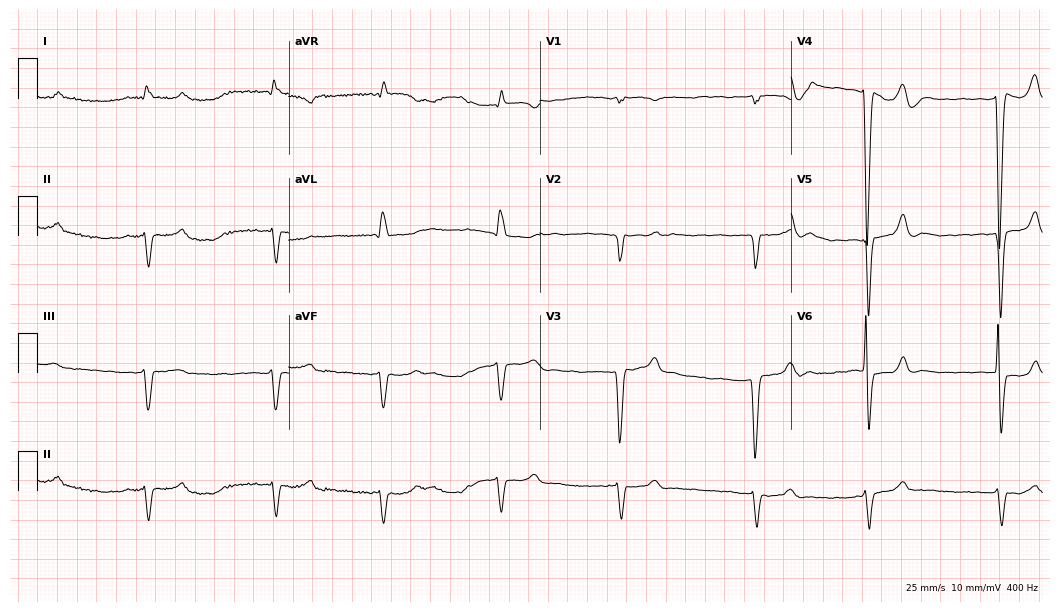
Standard 12-lead ECG recorded from an 85-year-old man. None of these six findings is recorded: first-degree AV block, right bundle branch block, left bundle branch block, sinus bradycardia, atrial fibrillation, sinus tachycardia. Only these six findings were labelled.